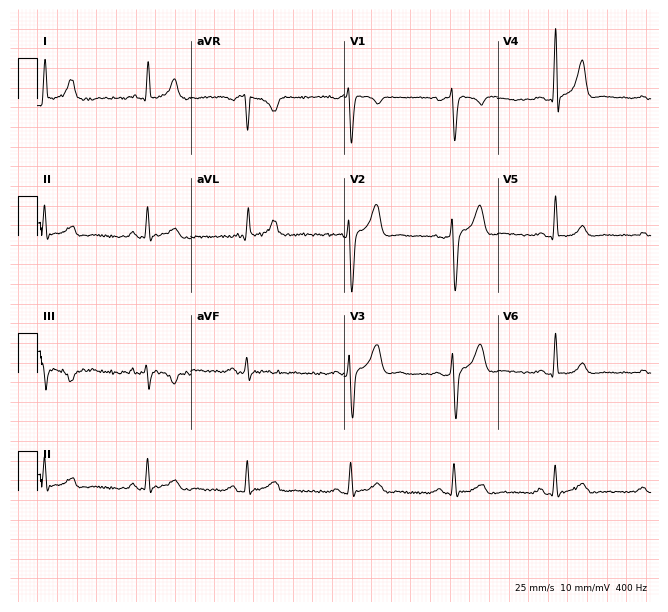
12-lead ECG (6.3-second recording at 400 Hz) from a 35-year-old male. Labelled as a normal ECG.